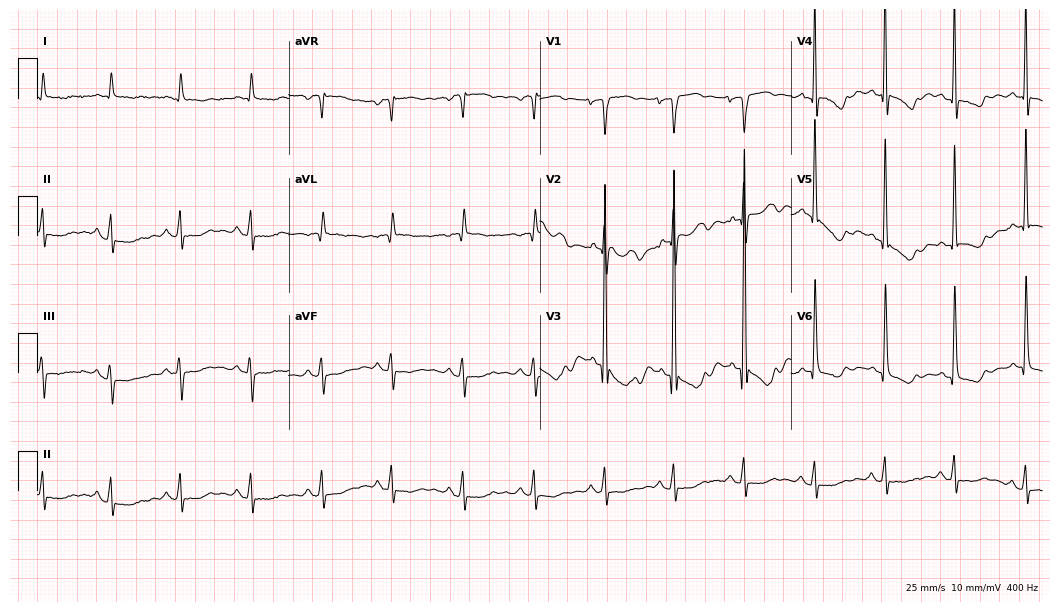
Standard 12-lead ECG recorded from an 85-year-old woman. None of these six findings is recorded: first-degree AV block, right bundle branch block (RBBB), left bundle branch block (LBBB), sinus bradycardia, atrial fibrillation (AF), sinus tachycardia. Findings outside these six are not listed.